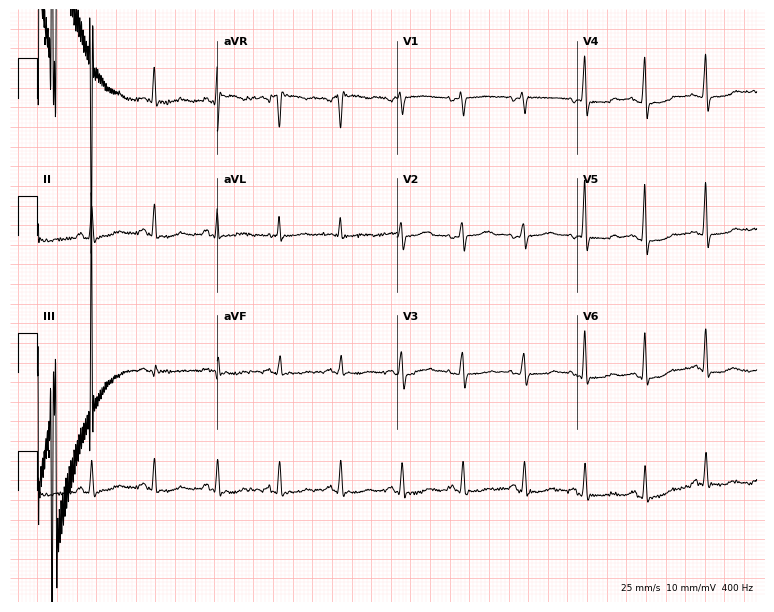
Standard 12-lead ECG recorded from a 57-year-old female. None of these six findings is recorded: first-degree AV block, right bundle branch block (RBBB), left bundle branch block (LBBB), sinus bradycardia, atrial fibrillation (AF), sinus tachycardia.